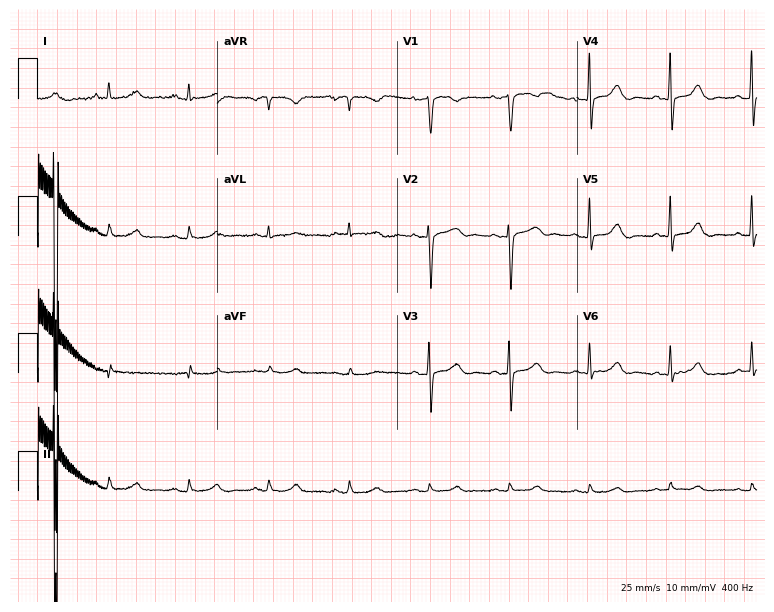
Electrocardiogram, a female, 75 years old. Overall reading on record: normal ECG.